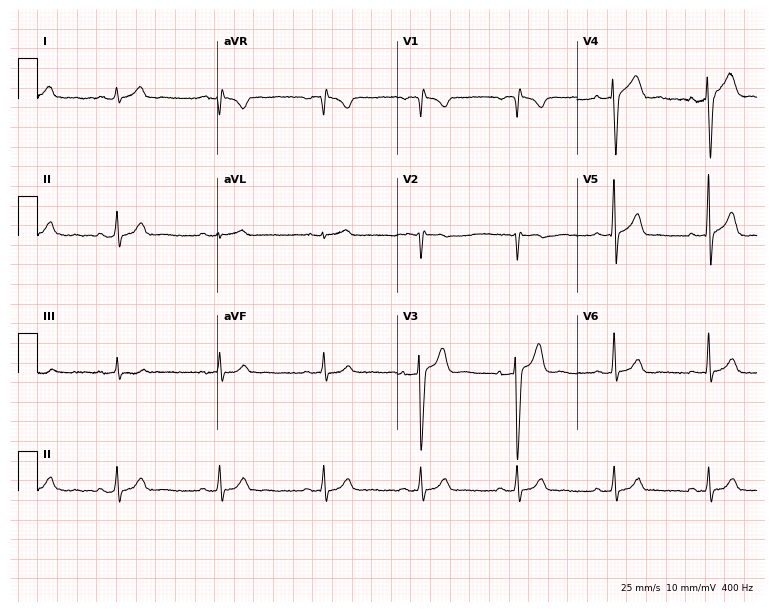
Resting 12-lead electrocardiogram. Patient: a man, 29 years old. Read as a normal ECG.